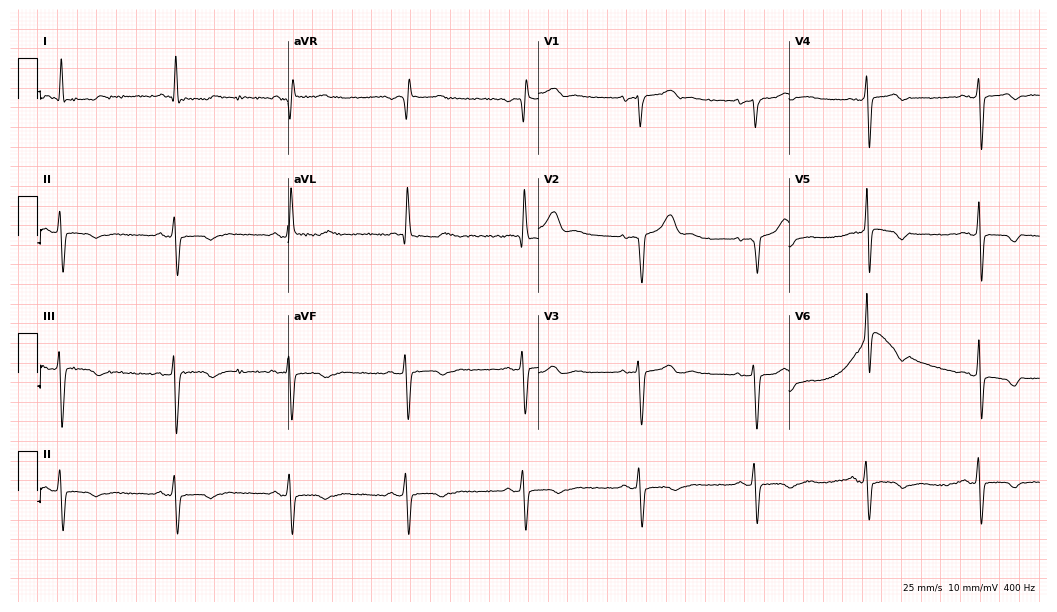
ECG (10.2-second recording at 400 Hz) — a 69-year-old female. Screened for six findings — first-degree AV block, right bundle branch block, left bundle branch block, sinus bradycardia, atrial fibrillation, sinus tachycardia — none is recorded. Only these six findings were labelled.